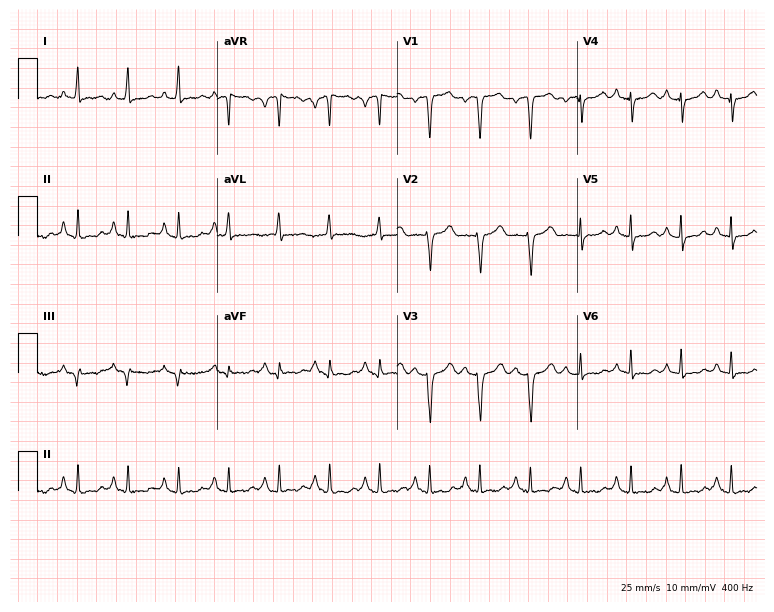
ECG — a woman, 72 years old. Findings include sinus tachycardia (a sinus rate of 100 beats per minute or more).